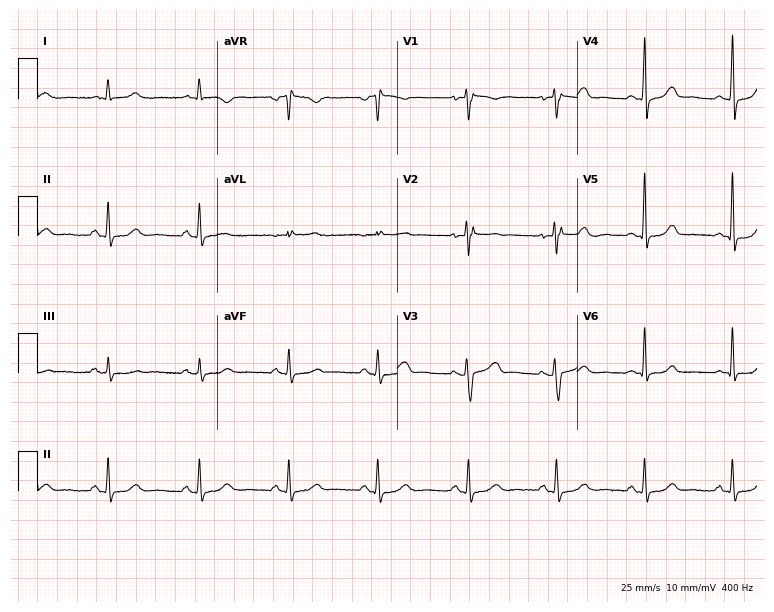
Resting 12-lead electrocardiogram (7.3-second recording at 400 Hz). Patient: a 45-year-old female. None of these six findings is recorded: first-degree AV block, right bundle branch block (RBBB), left bundle branch block (LBBB), sinus bradycardia, atrial fibrillation (AF), sinus tachycardia. Other findings, if any, are not listed.